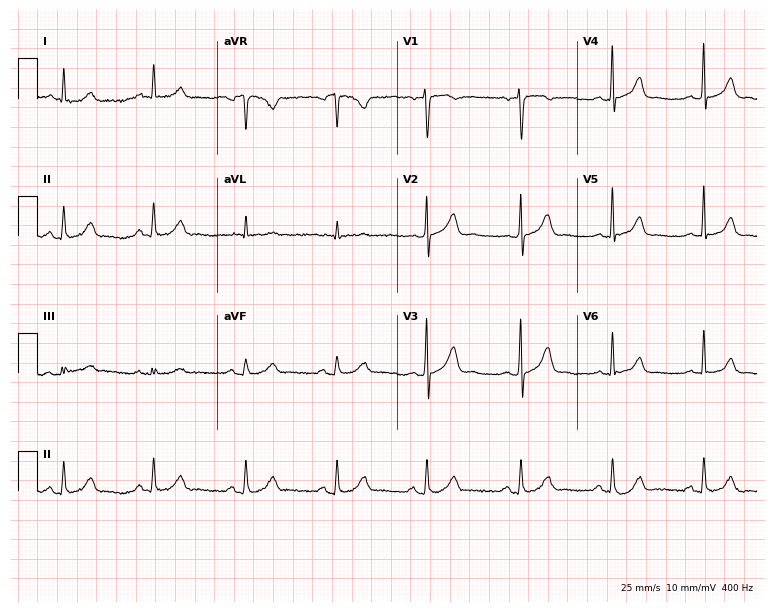
12-lead ECG (7.3-second recording at 400 Hz) from a female, 50 years old. Labelled as a normal ECG.